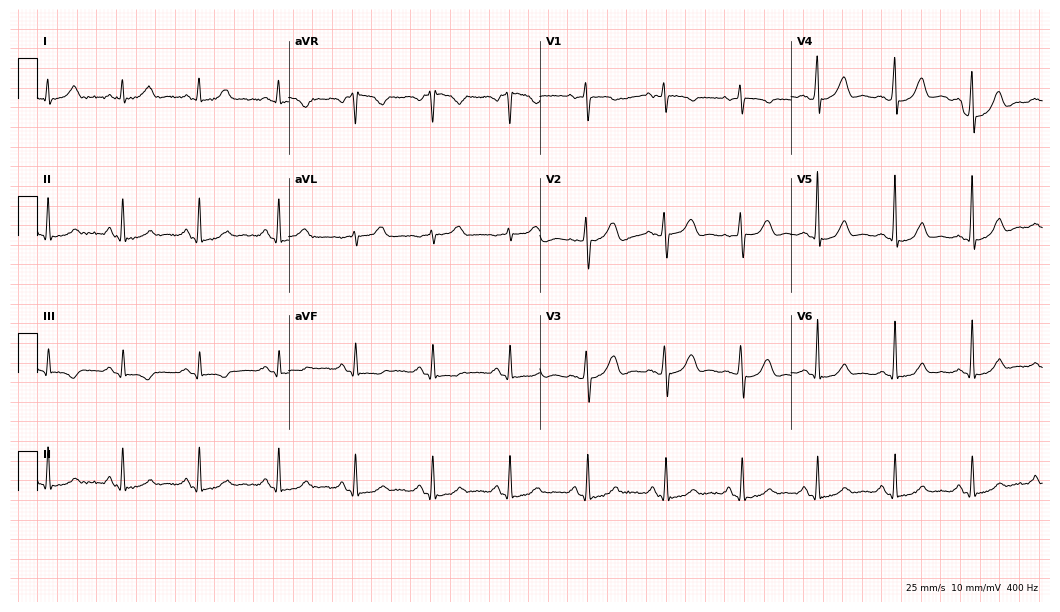
12-lead ECG from a woman, 45 years old. Labelled as a normal ECG.